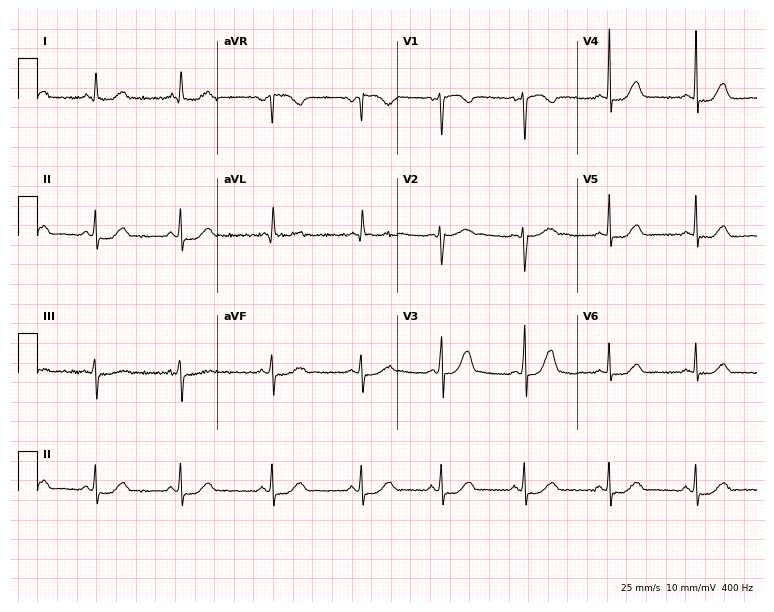
Electrocardiogram (7.3-second recording at 400 Hz), a 28-year-old woman. Overall reading on record: normal ECG.